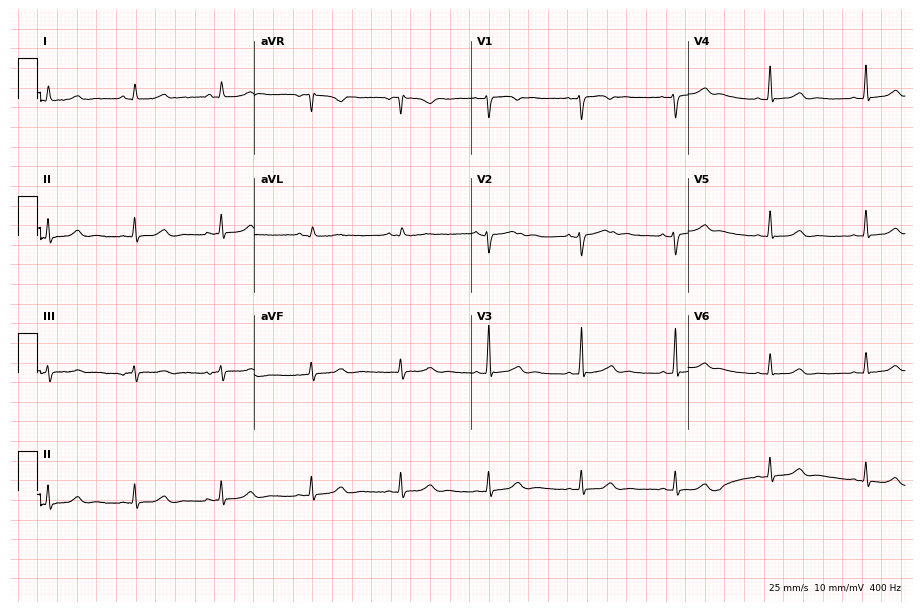
12-lead ECG from a woman, 53 years old (8.8-second recording at 400 Hz). No first-degree AV block, right bundle branch block, left bundle branch block, sinus bradycardia, atrial fibrillation or sinus tachycardia recorded for this tracing.